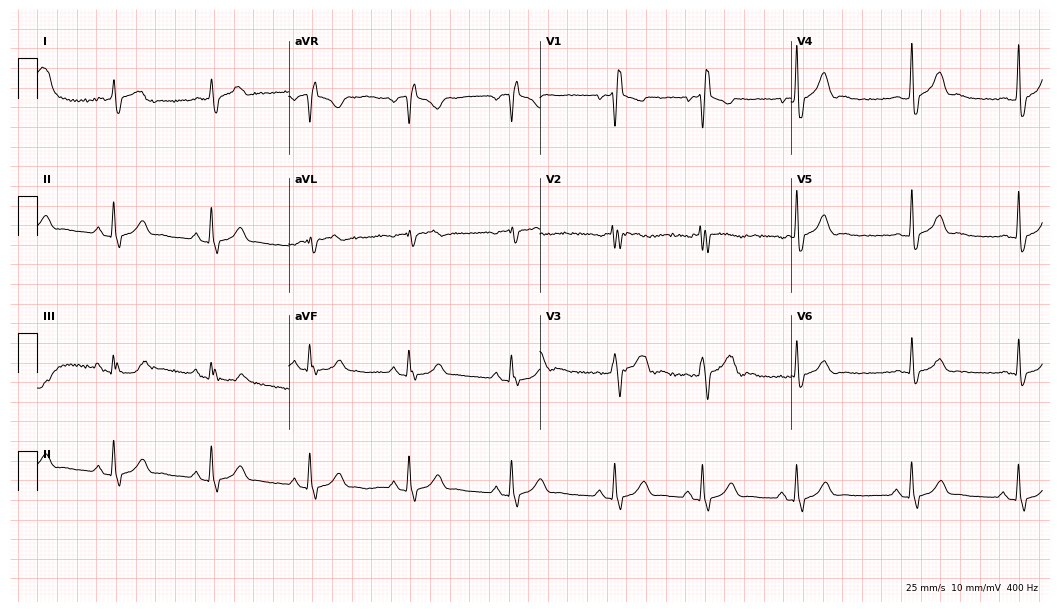
Resting 12-lead electrocardiogram (10.2-second recording at 400 Hz). Patient: a 21-year-old male. The tracing shows right bundle branch block (RBBB).